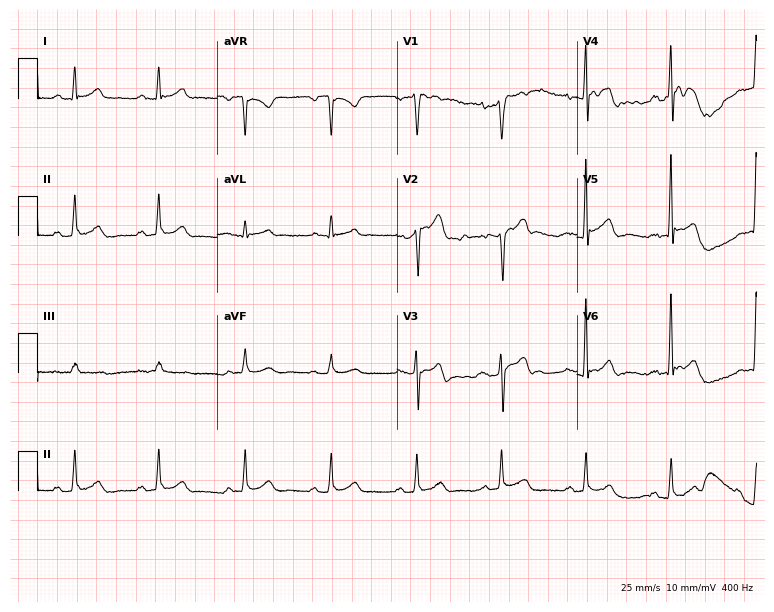
Electrocardiogram (7.3-second recording at 400 Hz), a 45-year-old male patient. Overall reading on record: normal ECG.